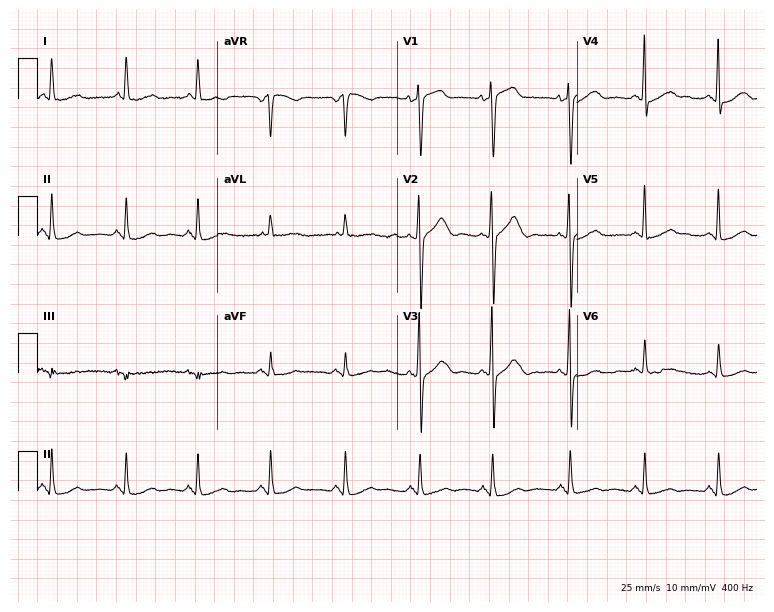
12-lead ECG from an 86-year-old female. Recorded interpretation: within normal limits.